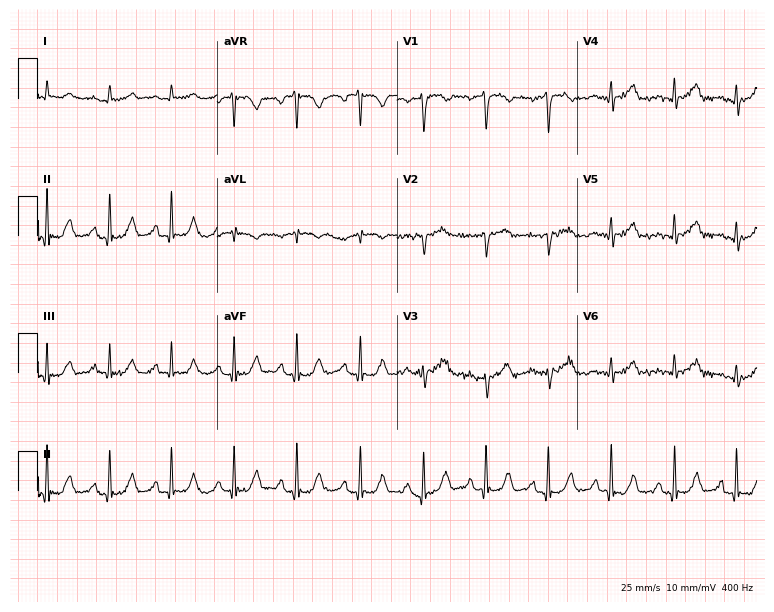
12-lead ECG from an 81-year-old male patient. Recorded interpretation: within normal limits.